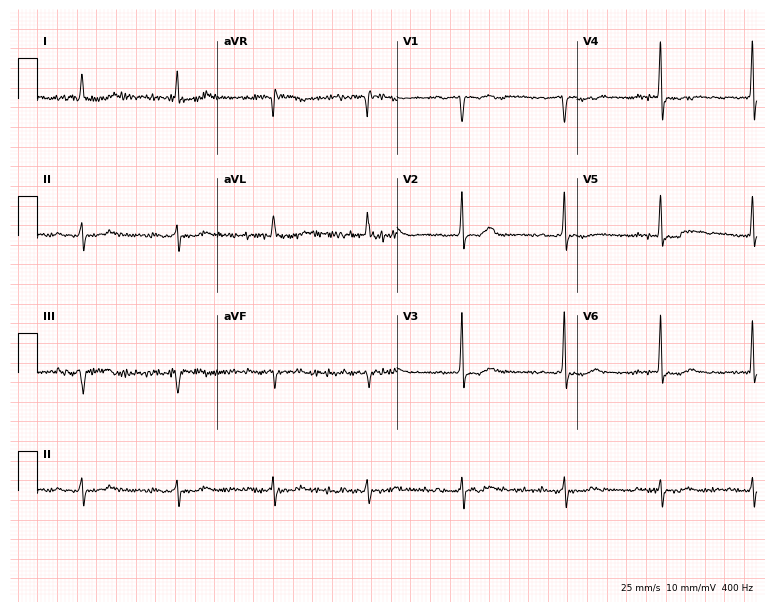
12-lead ECG from a female, 81 years old. Screened for six findings — first-degree AV block, right bundle branch block, left bundle branch block, sinus bradycardia, atrial fibrillation, sinus tachycardia — none is recorded. Findings outside these six are not listed.